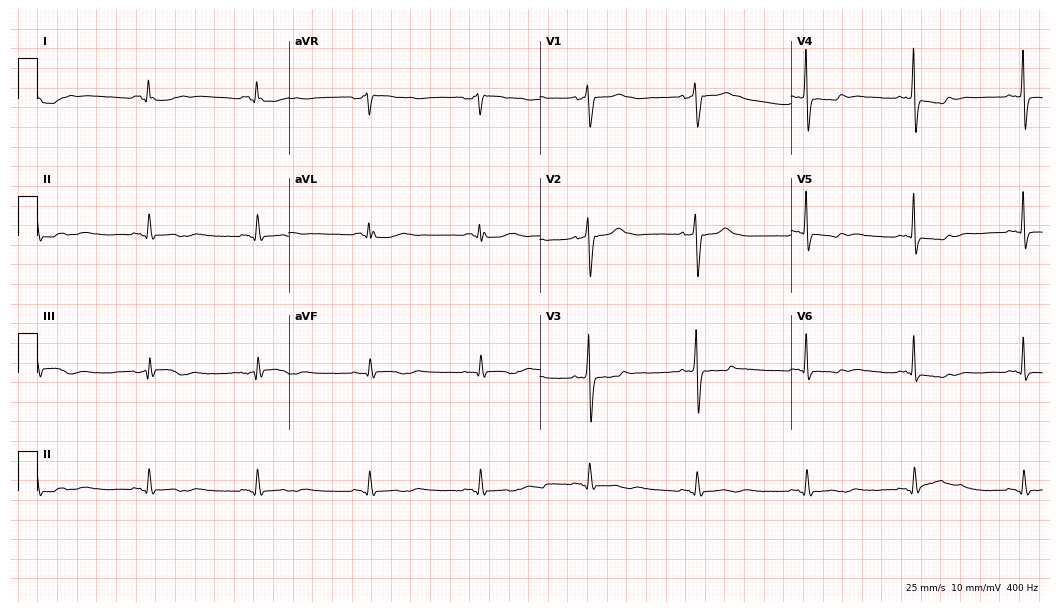
Standard 12-lead ECG recorded from a female, 64 years old. None of these six findings is recorded: first-degree AV block, right bundle branch block, left bundle branch block, sinus bradycardia, atrial fibrillation, sinus tachycardia.